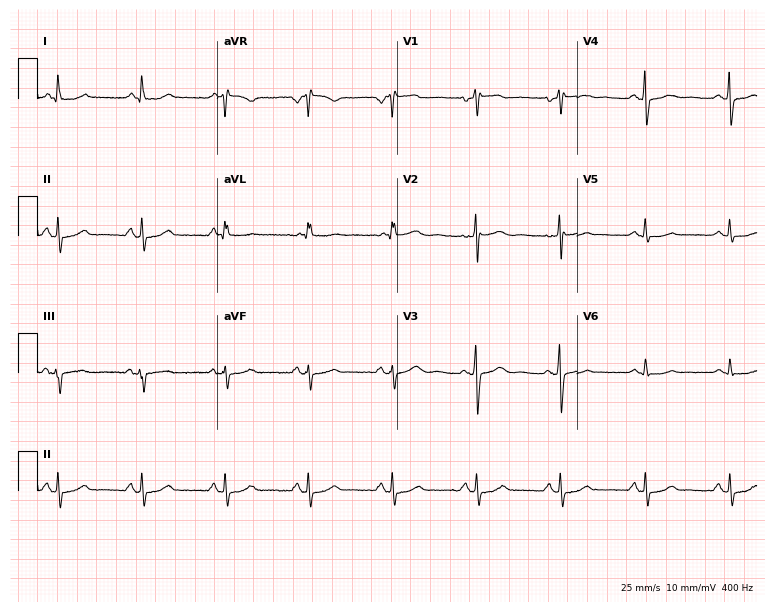
12-lead ECG (7.3-second recording at 400 Hz) from a 53-year-old female patient. Labelled as a normal ECG.